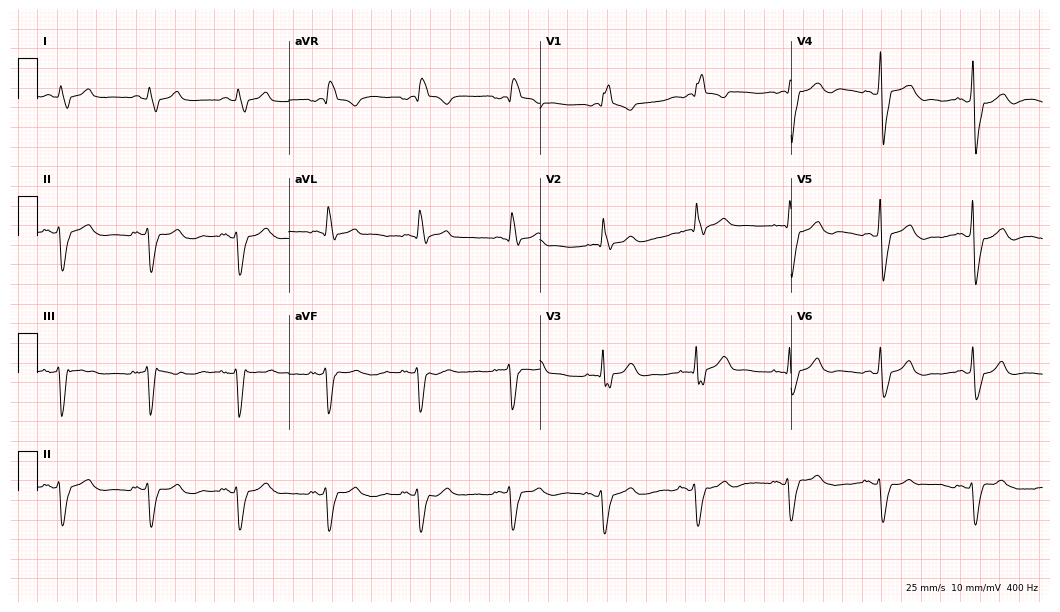
Standard 12-lead ECG recorded from a 71-year-old male patient (10.2-second recording at 400 Hz). The tracing shows right bundle branch block.